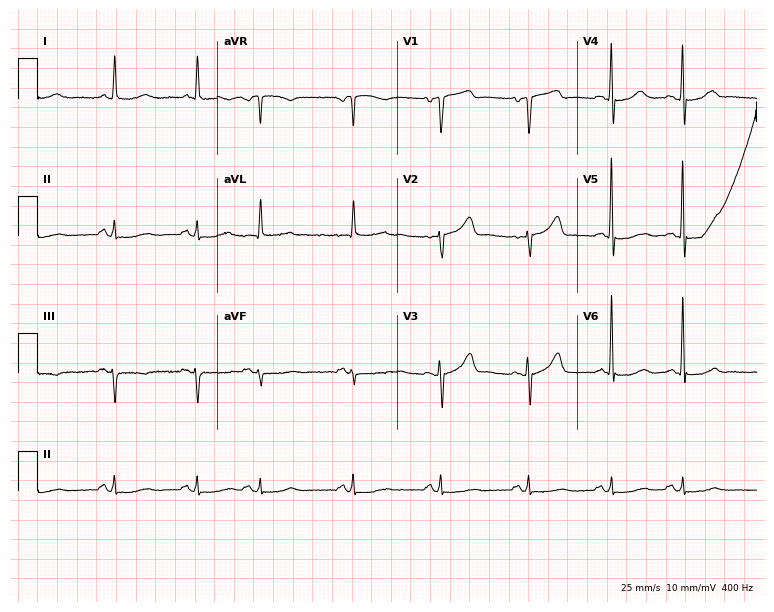
ECG — a woman, 81 years old. Labelled as a normal ECG.